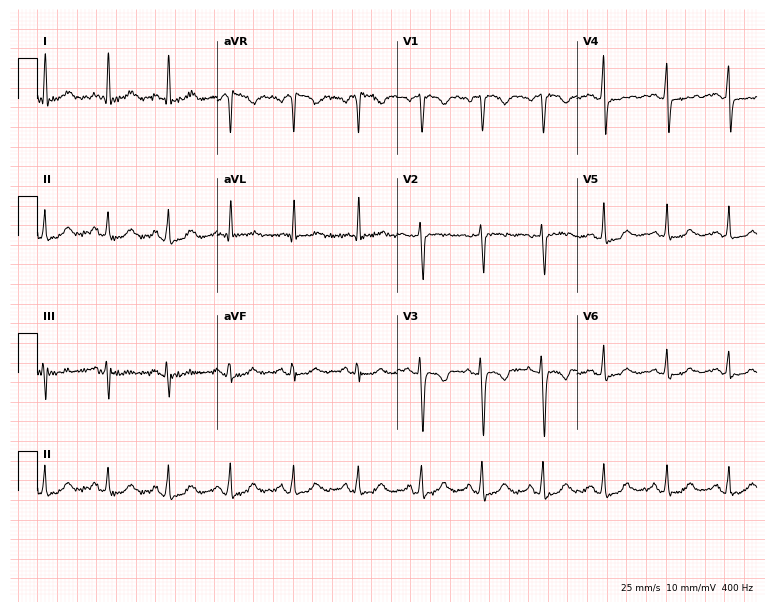
12-lead ECG from a 51-year-old female patient. No first-degree AV block, right bundle branch block (RBBB), left bundle branch block (LBBB), sinus bradycardia, atrial fibrillation (AF) or sinus tachycardia recorded for this tracing. Other findings, if any, are not listed.